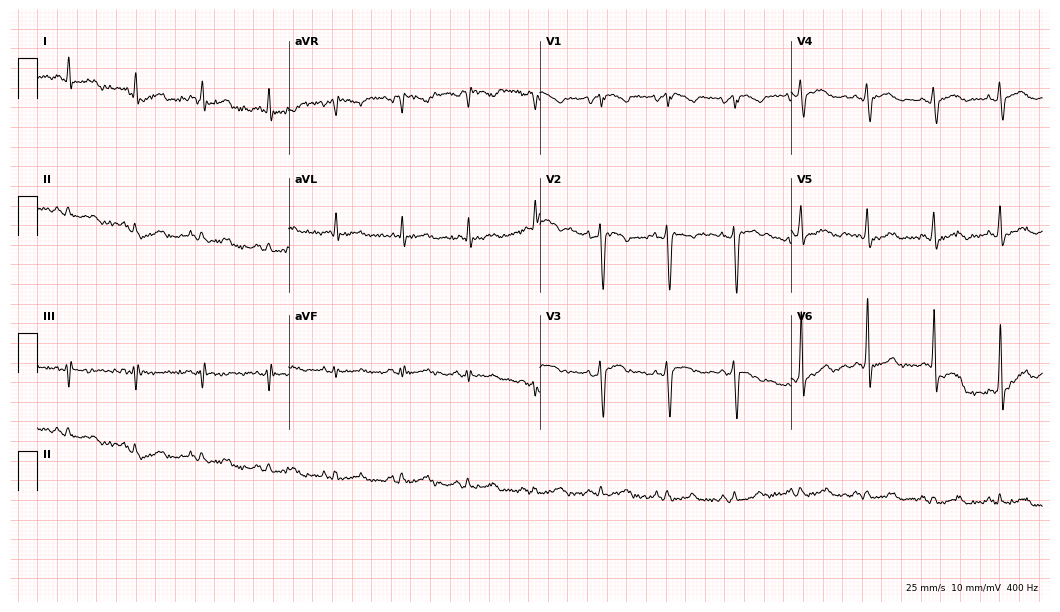
12-lead ECG from a male patient, 85 years old. Recorded interpretation: within normal limits.